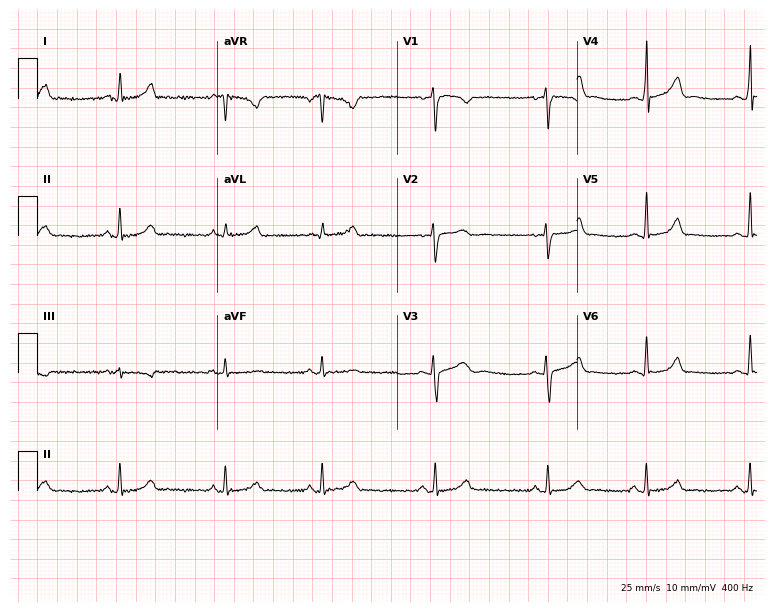
Electrocardiogram, a woman, 26 years old. Overall reading on record: normal ECG.